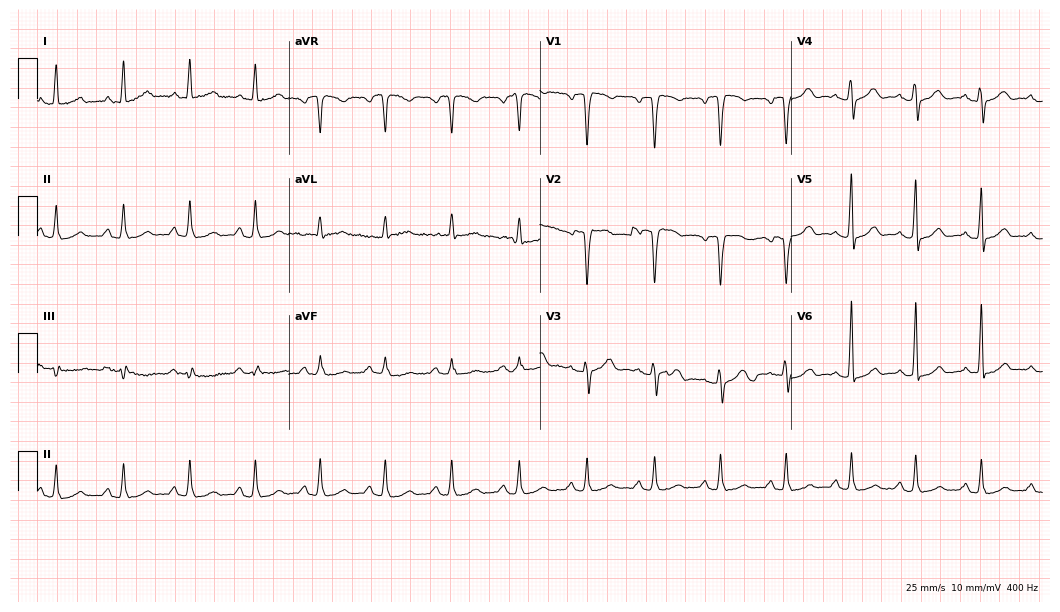
Resting 12-lead electrocardiogram. Patient: a woman, 50 years old. None of these six findings is recorded: first-degree AV block, right bundle branch block, left bundle branch block, sinus bradycardia, atrial fibrillation, sinus tachycardia.